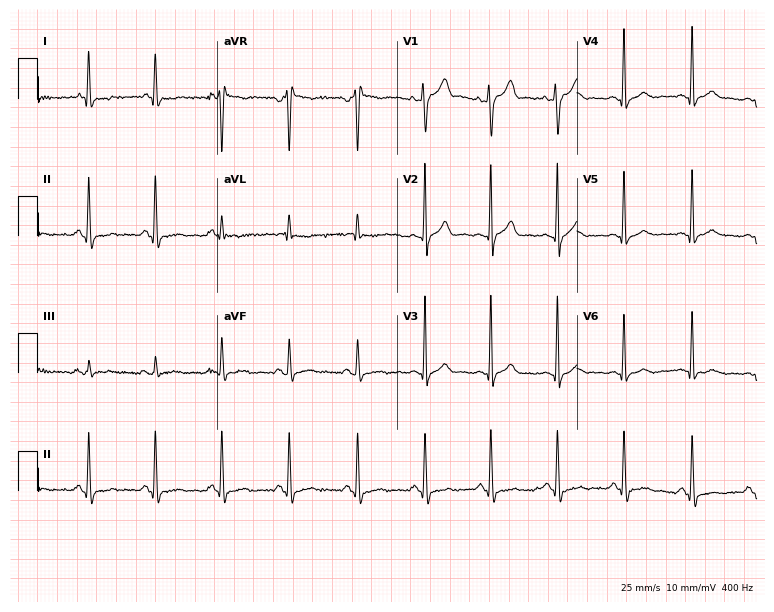
Standard 12-lead ECG recorded from a man, 32 years old. None of these six findings is recorded: first-degree AV block, right bundle branch block (RBBB), left bundle branch block (LBBB), sinus bradycardia, atrial fibrillation (AF), sinus tachycardia.